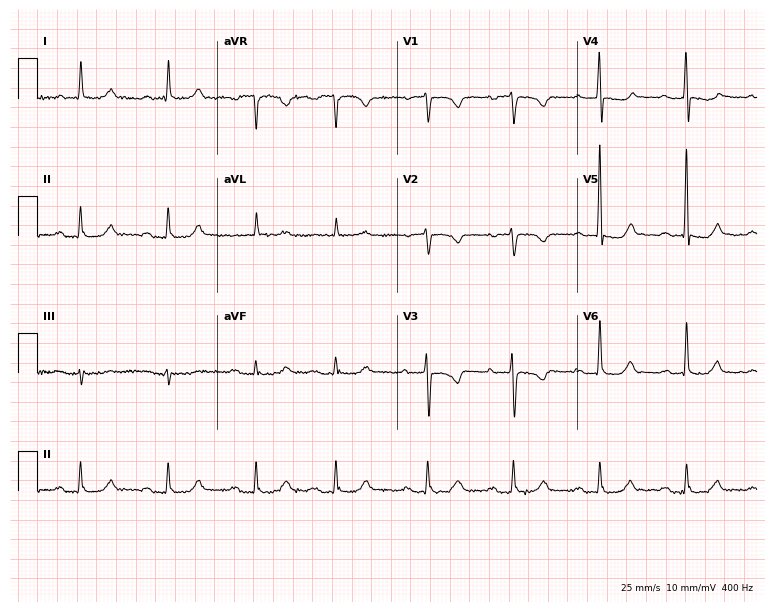
Standard 12-lead ECG recorded from a female patient, 73 years old. Read as a normal ECG.